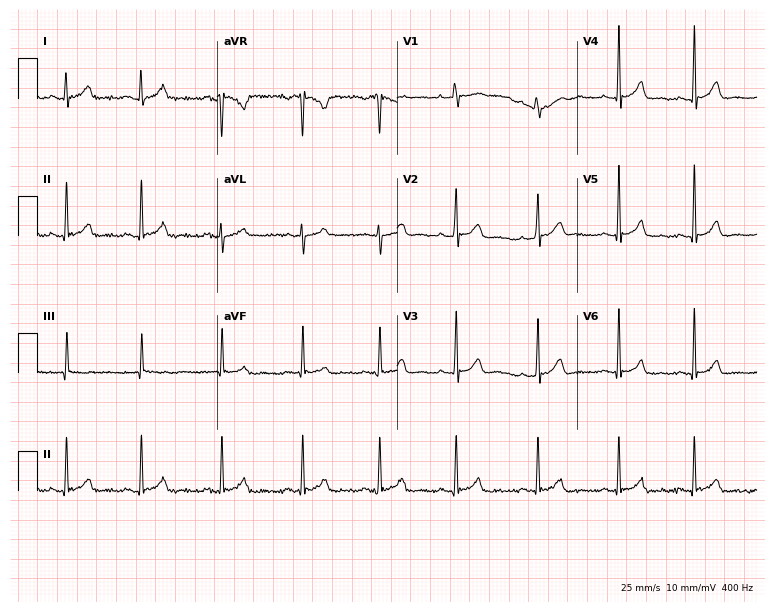
12-lead ECG (7.3-second recording at 400 Hz) from a female, 24 years old. Screened for six findings — first-degree AV block, right bundle branch block, left bundle branch block, sinus bradycardia, atrial fibrillation, sinus tachycardia — none is recorded.